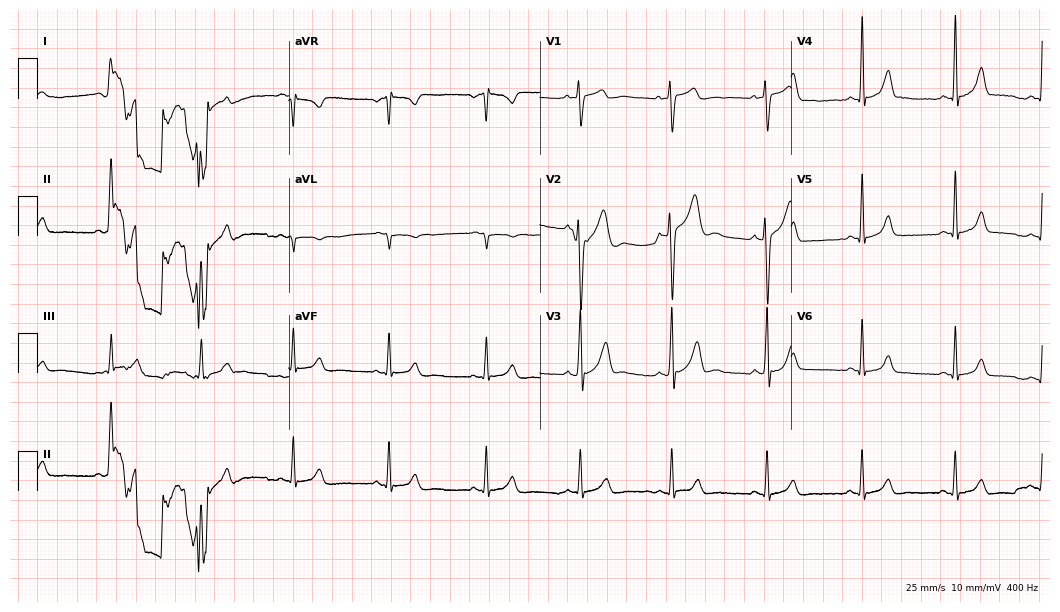
12-lead ECG from a 23-year-old male. Screened for six findings — first-degree AV block, right bundle branch block, left bundle branch block, sinus bradycardia, atrial fibrillation, sinus tachycardia — none is recorded.